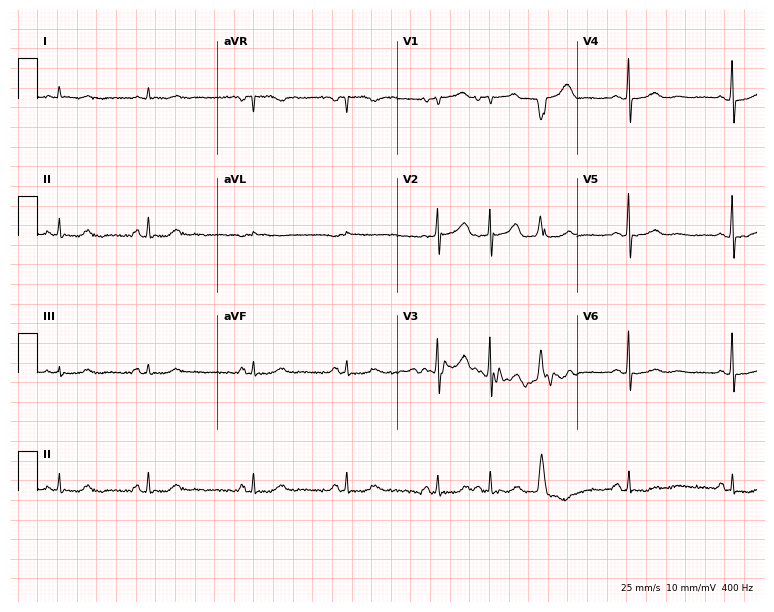
Standard 12-lead ECG recorded from a female patient, 81 years old (7.3-second recording at 400 Hz). Read as a normal ECG.